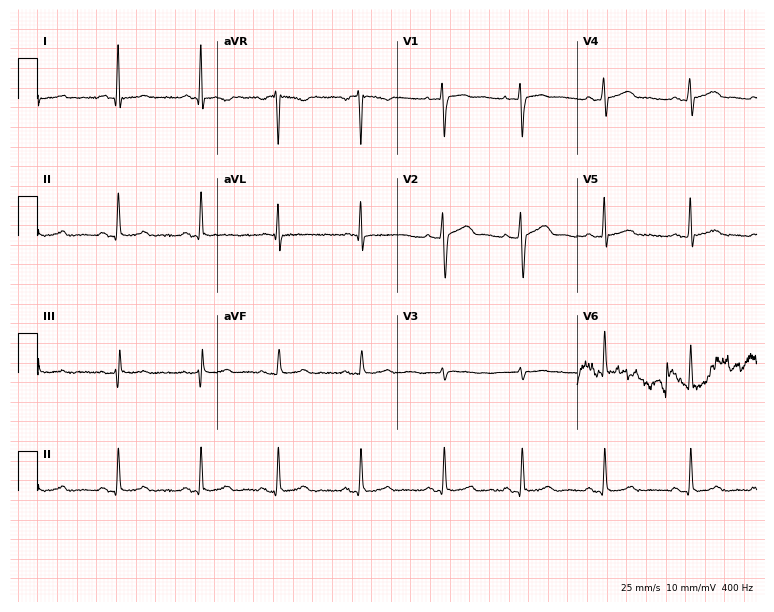
Electrocardiogram (7.3-second recording at 400 Hz), a 35-year-old female patient. Overall reading on record: normal ECG.